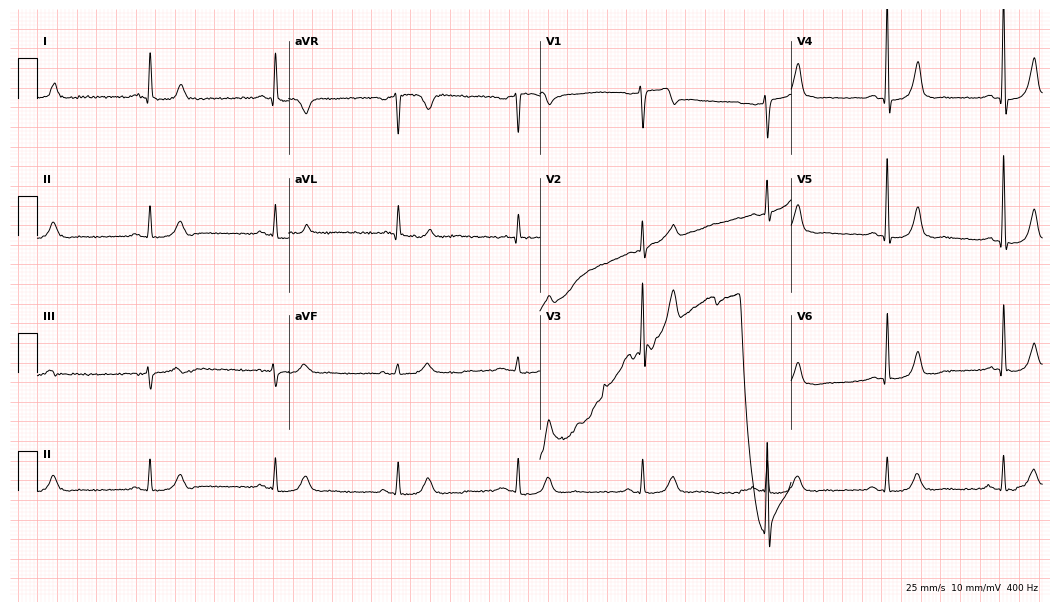
Electrocardiogram (10.2-second recording at 400 Hz), a male, 65 years old. Of the six screened findings (first-degree AV block, right bundle branch block (RBBB), left bundle branch block (LBBB), sinus bradycardia, atrial fibrillation (AF), sinus tachycardia), none is recorded.